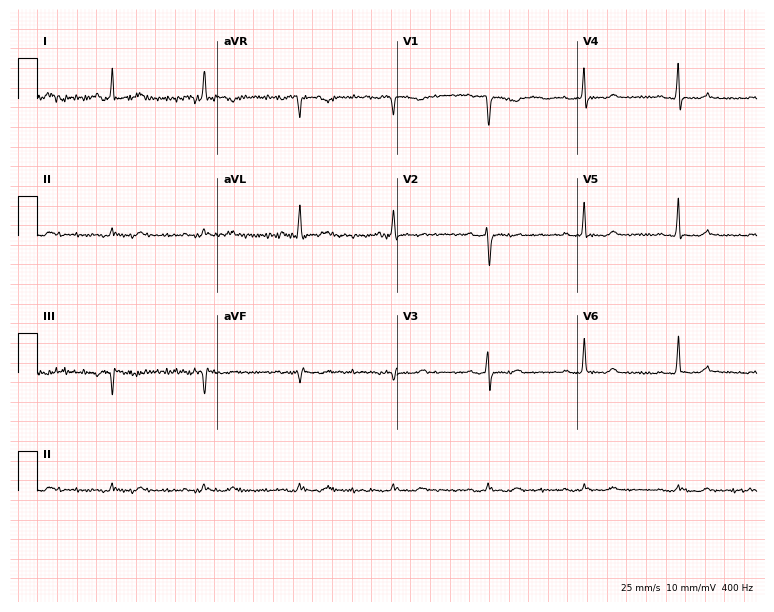
Standard 12-lead ECG recorded from a 49-year-old female. None of these six findings is recorded: first-degree AV block, right bundle branch block (RBBB), left bundle branch block (LBBB), sinus bradycardia, atrial fibrillation (AF), sinus tachycardia. Findings outside these six are not listed.